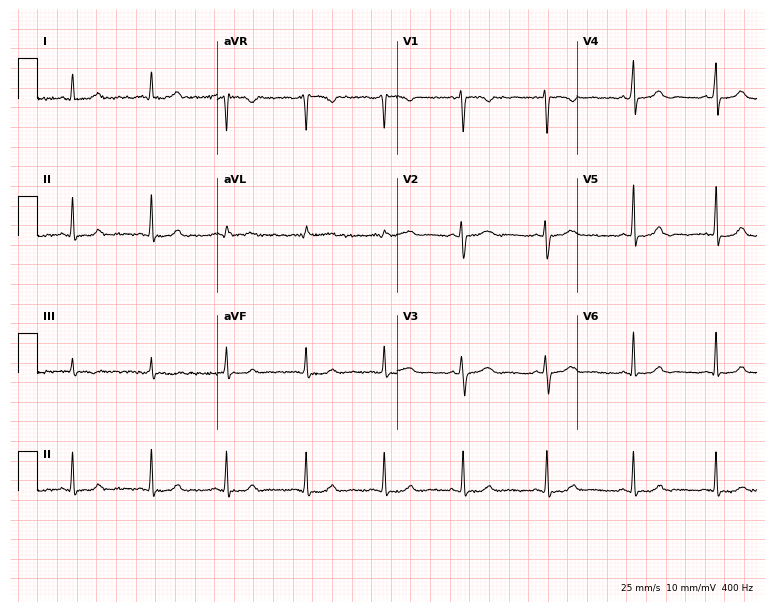
12-lead ECG from a female patient, 29 years old. Recorded interpretation: within normal limits.